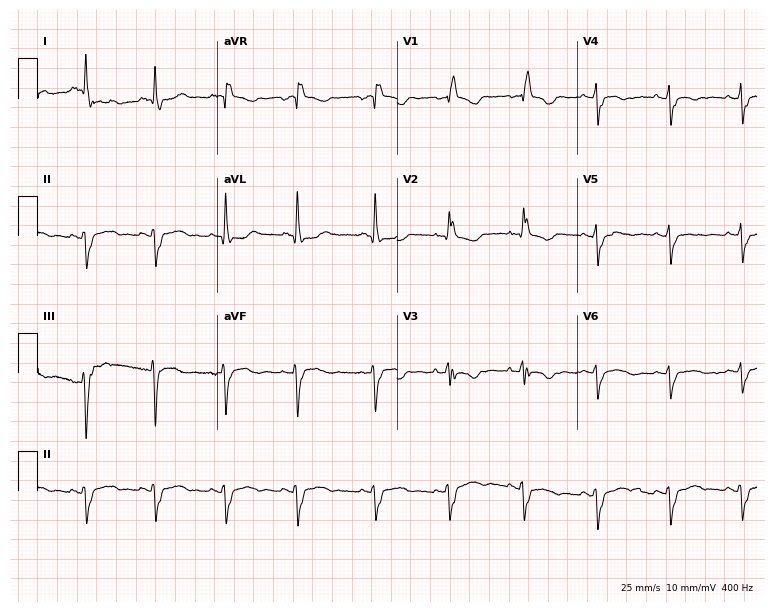
12-lead ECG from a 59-year-old female patient. Shows right bundle branch block.